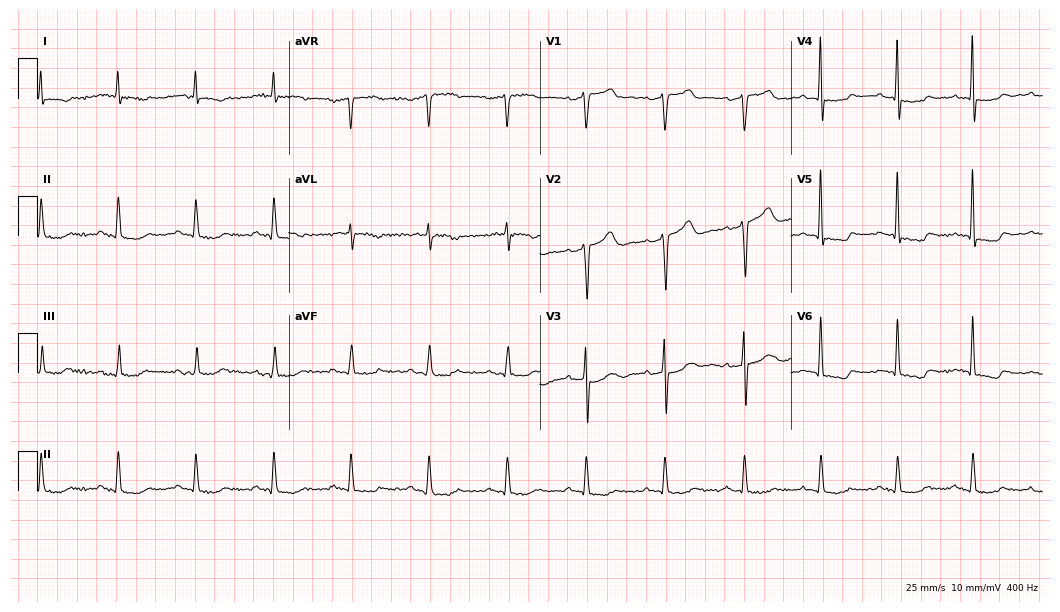
Electrocardiogram (10.2-second recording at 400 Hz), a 63-year-old male patient. Of the six screened findings (first-degree AV block, right bundle branch block, left bundle branch block, sinus bradycardia, atrial fibrillation, sinus tachycardia), none is recorded. Other findings, if any, are not listed.